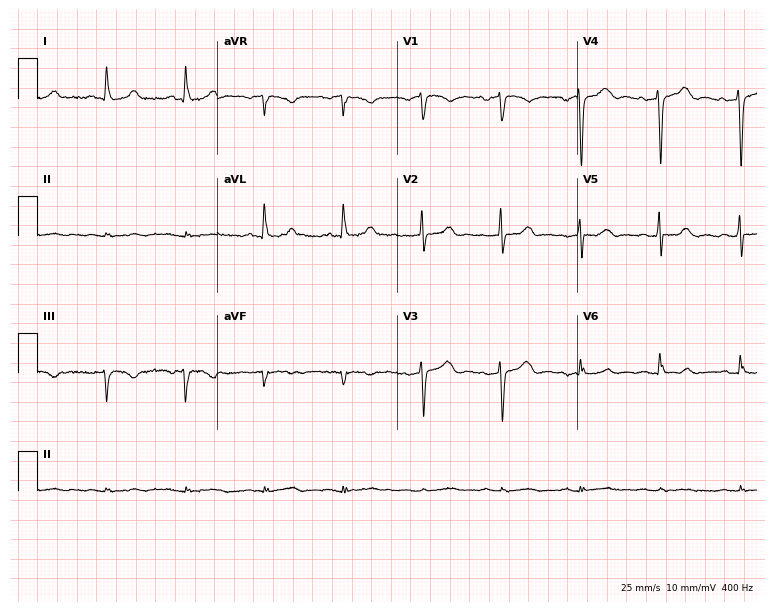
Standard 12-lead ECG recorded from a female patient, 78 years old. Read as a normal ECG.